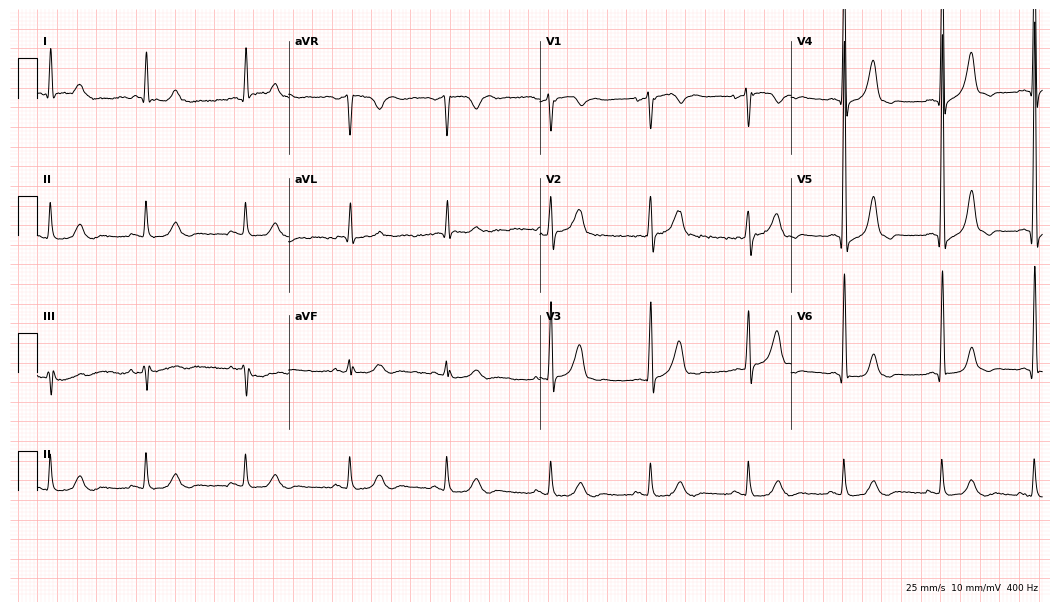
12-lead ECG (10.2-second recording at 400 Hz) from a man, 81 years old. Labelled as a normal ECG.